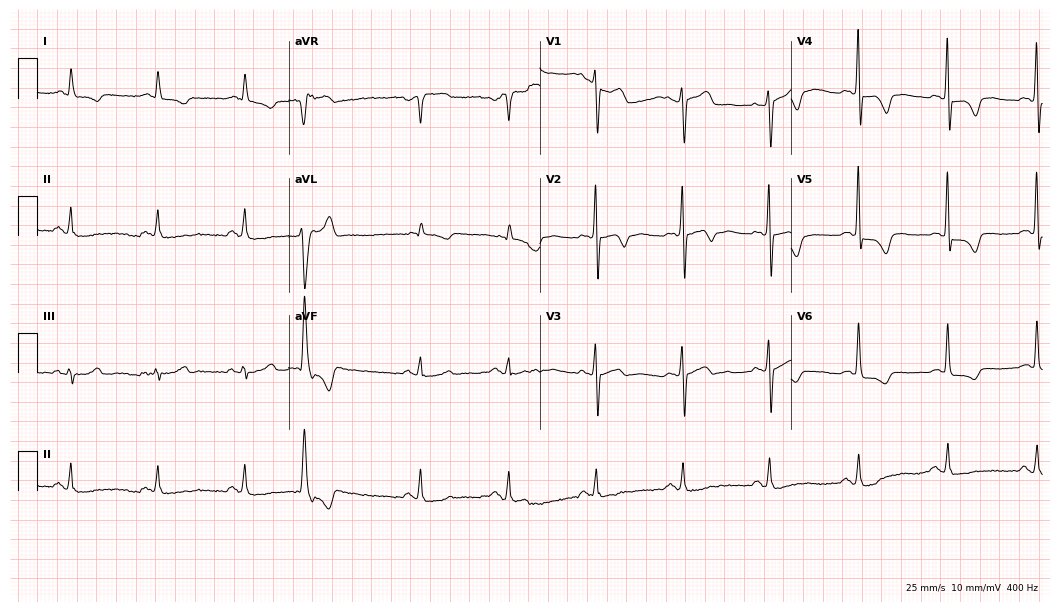
Electrocardiogram (10.2-second recording at 400 Hz), a man, 68 years old. Of the six screened findings (first-degree AV block, right bundle branch block, left bundle branch block, sinus bradycardia, atrial fibrillation, sinus tachycardia), none is recorded. Other findings, if any, are not listed.